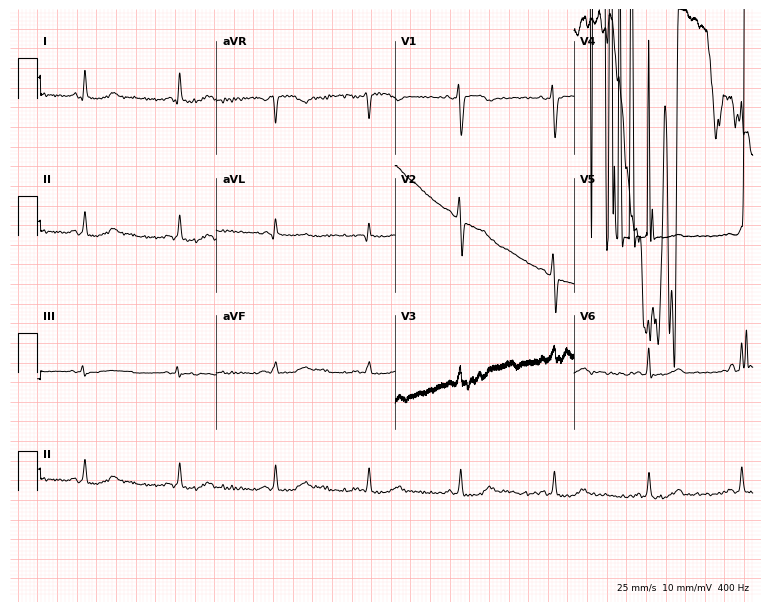
Electrocardiogram, a 43-year-old female. Of the six screened findings (first-degree AV block, right bundle branch block (RBBB), left bundle branch block (LBBB), sinus bradycardia, atrial fibrillation (AF), sinus tachycardia), none is recorded.